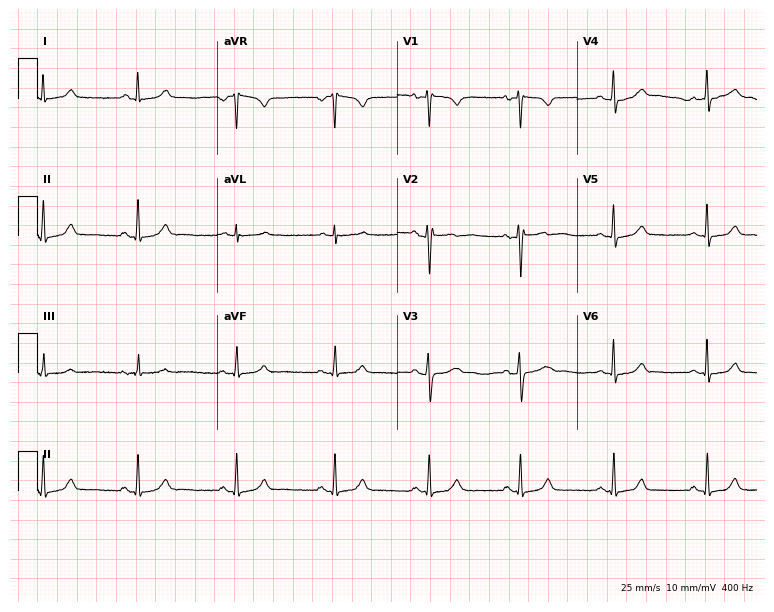
Resting 12-lead electrocardiogram. Patient: a female, 30 years old. None of these six findings is recorded: first-degree AV block, right bundle branch block, left bundle branch block, sinus bradycardia, atrial fibrillation, sinus tachycardia.